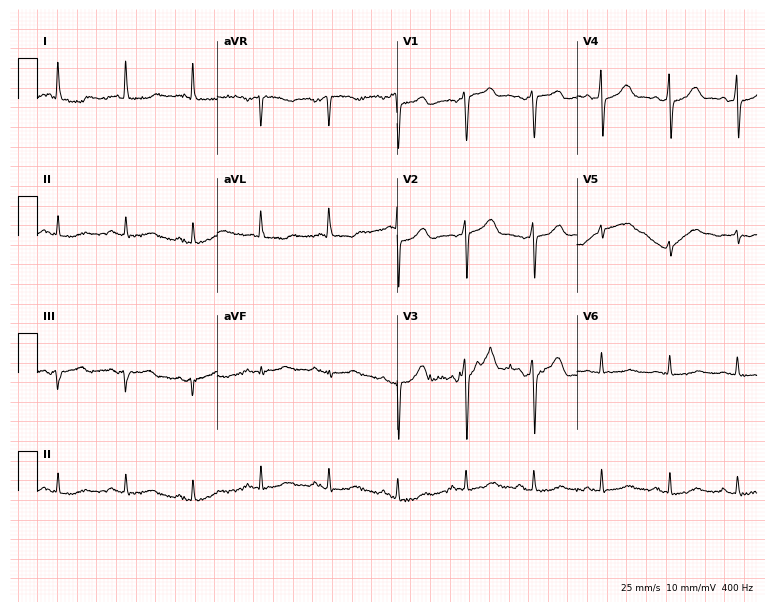
12-lead ECG from a woman, 74 years old (7.3-second recording at 400 Hz). No first-degree AV block, right bundle branch block, left bundle branch block, sinus bradycardia, atrial fibrillation or sinus tachycardia recorded for this tracing. Other findings, if any, are not listed.